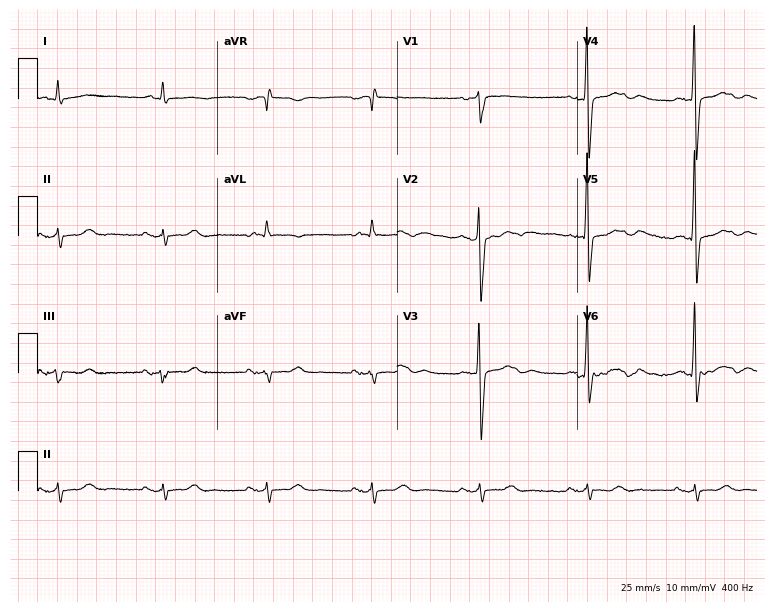
Resting 12-lead electrocardiogram (7.3-second recording at 400 Hz). Patient: a 76-year-old male. None of these six findings is recorded: first-degree AV block, right bundle branch block (RBBB), left bundle branch block (LBBB), sinus bradycardia, atrial fibrillation (AF), sinus tachycardia. Findings outside these six are not listed.